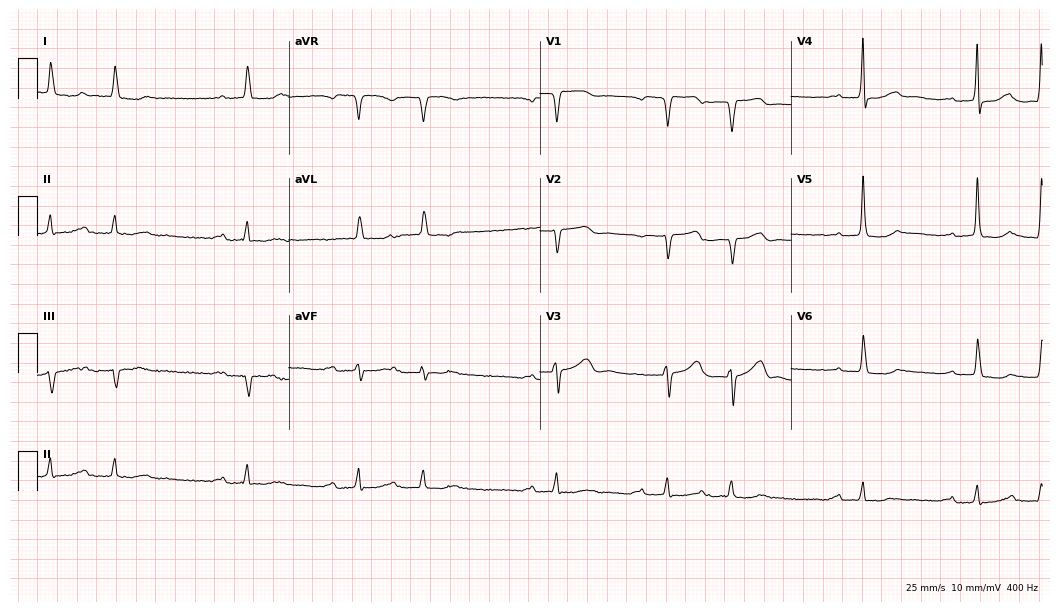
Standard 12-lead ECG recorded from an 81-year-old male patient (10.2-second recording at 400 Hz). The tracing shows first-degree AV block.